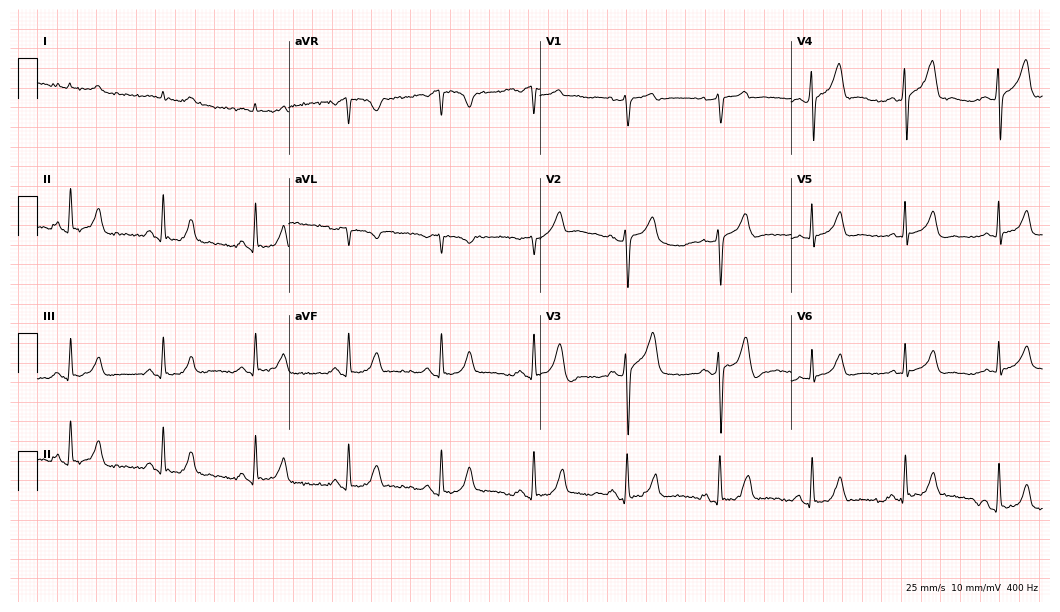
Electrocardiogram (10.2-second recording at 400 Hz), a male patient, 76 years old. Overall reading on record: normal ECG.